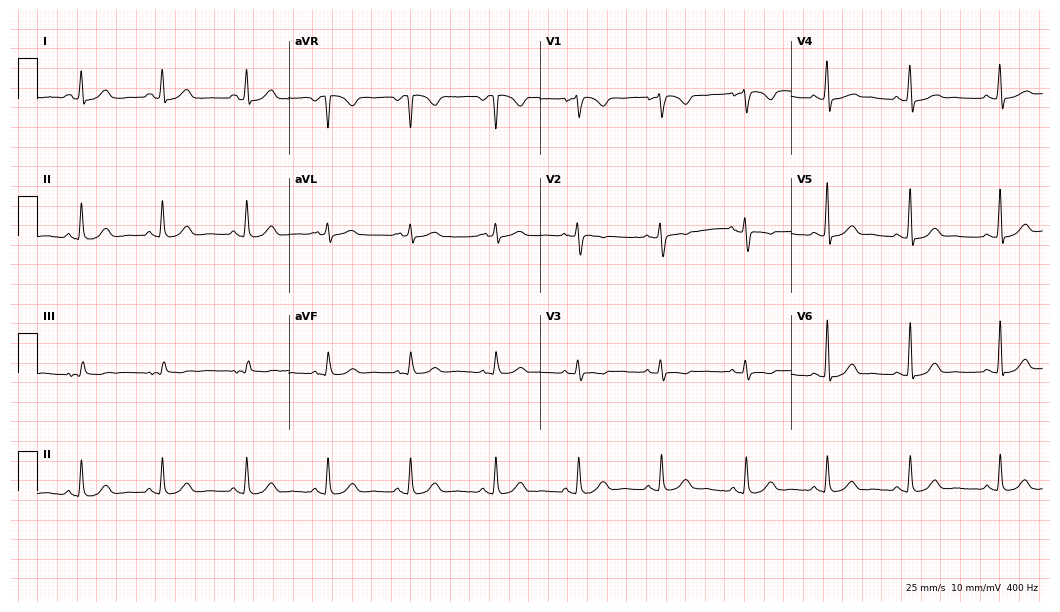
ECG — a male, 51 years old. Labelled as a normal ECG.